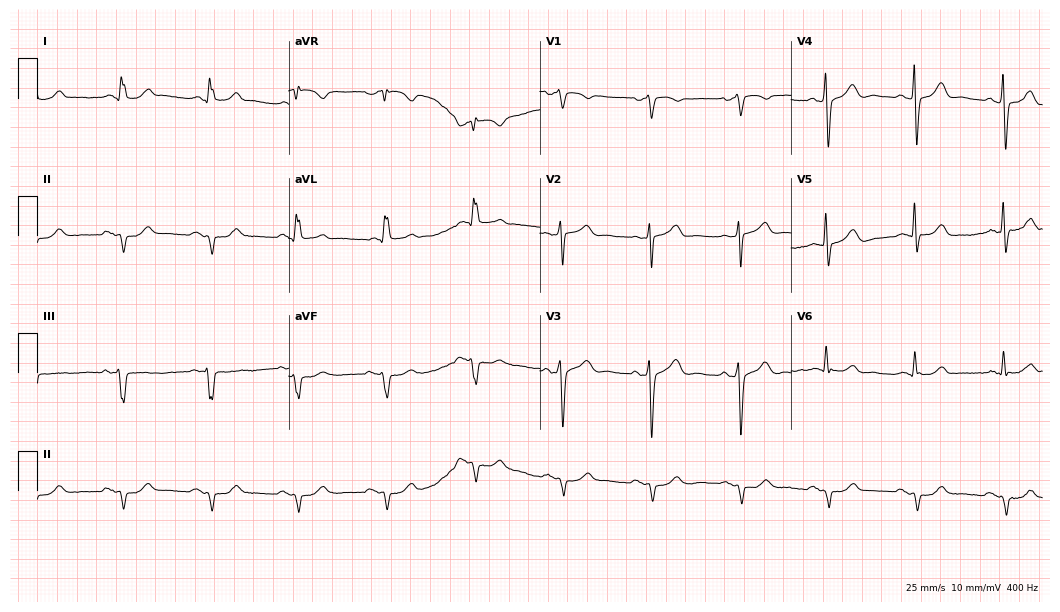
Electrocardiogram, a man, 76 years old. Of the six screened findings (first-degree AV block, right bundle branch block (RBBB), left bundle branch block (LBBB), sinus bradycardia, atrial fibrillation (AF), sinus tachycardia), none is recorded.